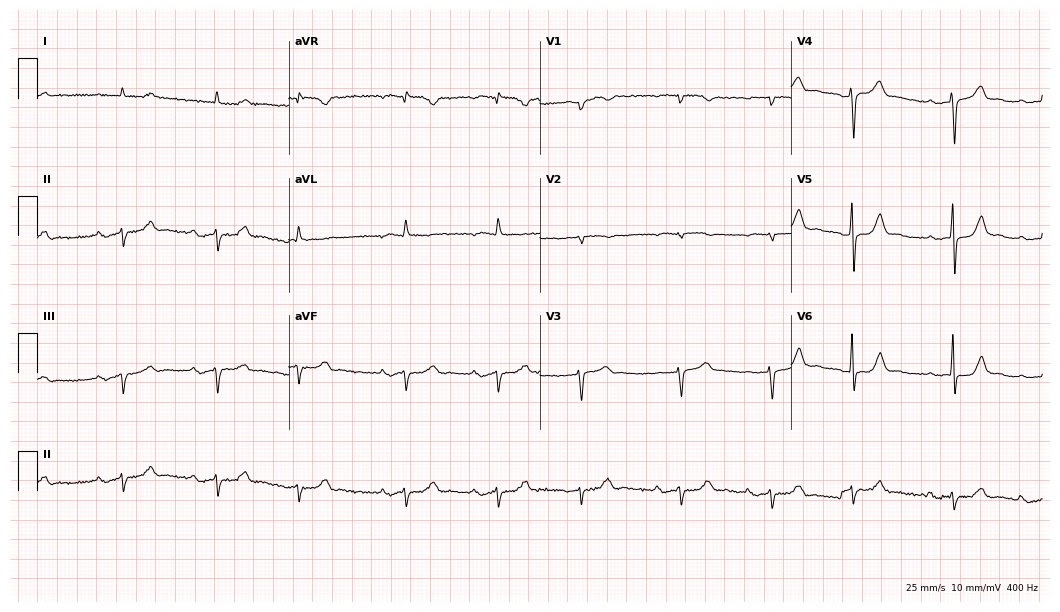
Resting 12-lead electrocardiogram (10.2-second recording at 400 Hz). Patient: a 78-year-old man. The tracing shows first-degree AV block, atrial fibrillation.